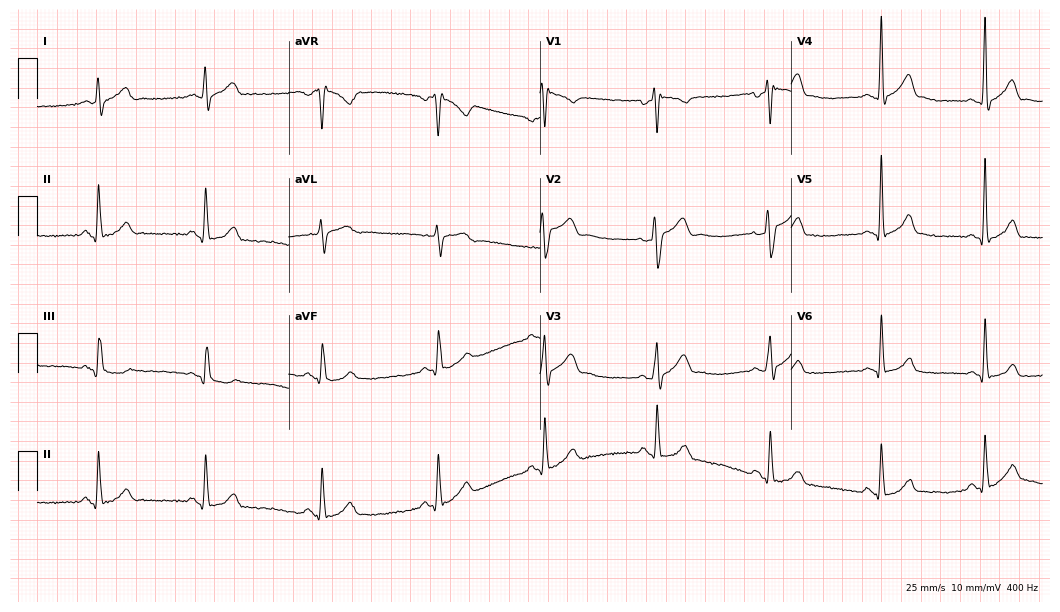
Standard 12-lead ECG recorded from a 27-year-old man. None of these six findings is recorded: first-degree AV block, right bundle branch block, left bundle branch block, sinus bradycardia, atrial fibrillation, sinus tachycardia.